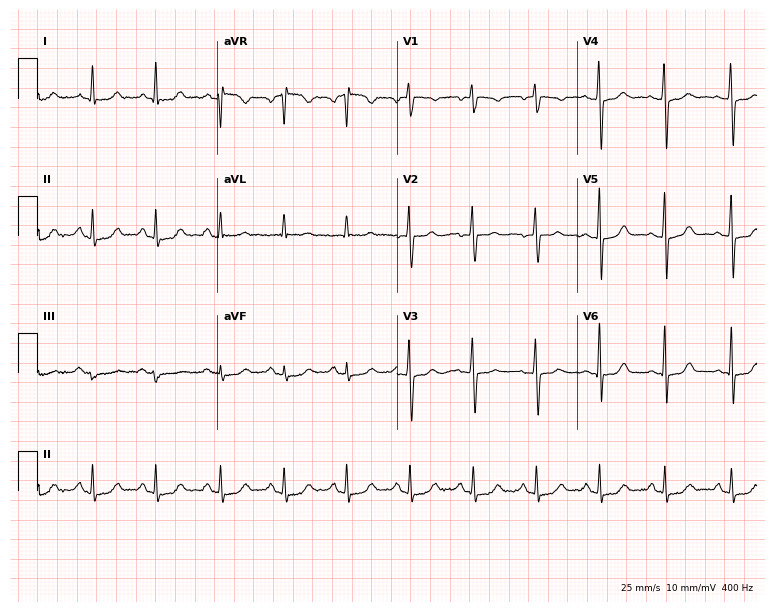
Electrocardiogram, a 43-year-old female patient. Of the six screened findings (first-degree AV block, right bundle branch block, left bundle branch block, sinus bradycardia, atrial fibrillation, sinus tachycardia), none is recorded. Findings outside these six are not listed.